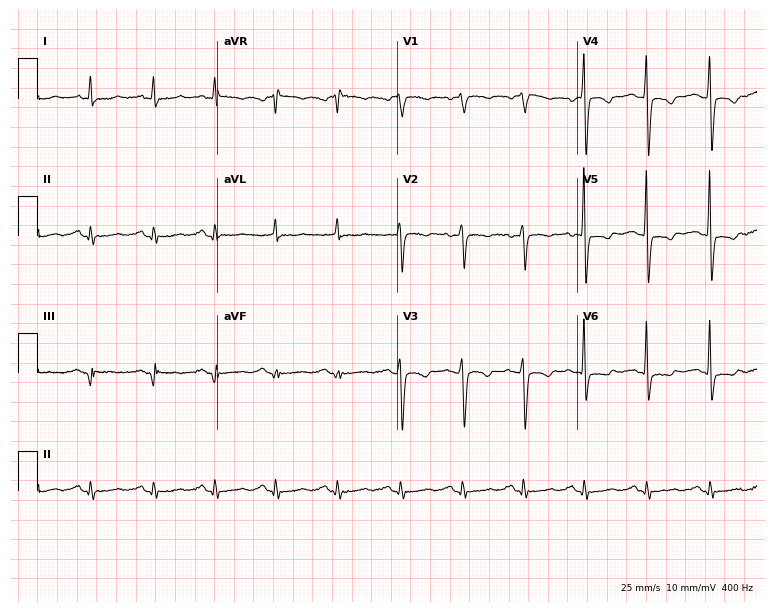
Electrocardiogram (7.3-second recording at 400 Hz), a 51-year-old woman. Of the six screened findings (first-degree AV block, right bundle branch block, left bundle branch block, sinus bradycardia, atrial fibrillation, sinus tachycardia), none is recorded.